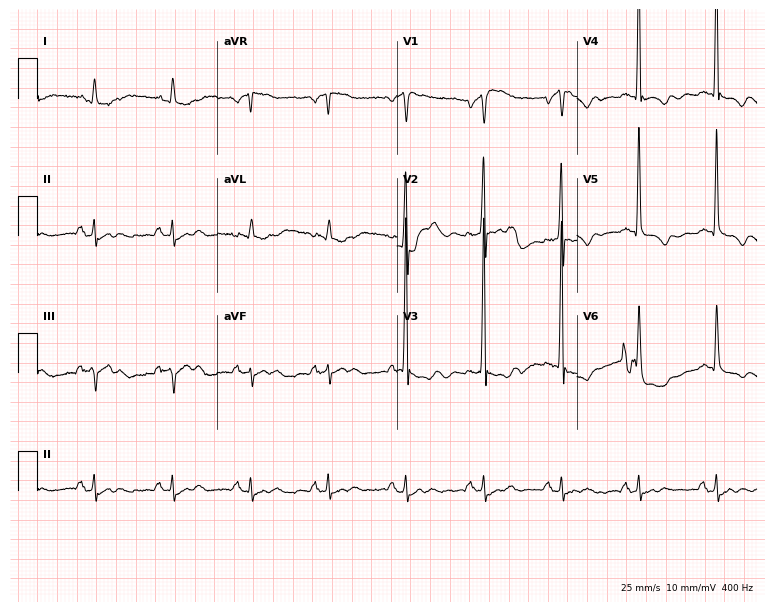
12-lead ECG from a 71-year-old man (7.3-second recording at 400 Hz). Recorded interpretation: within normal limits.